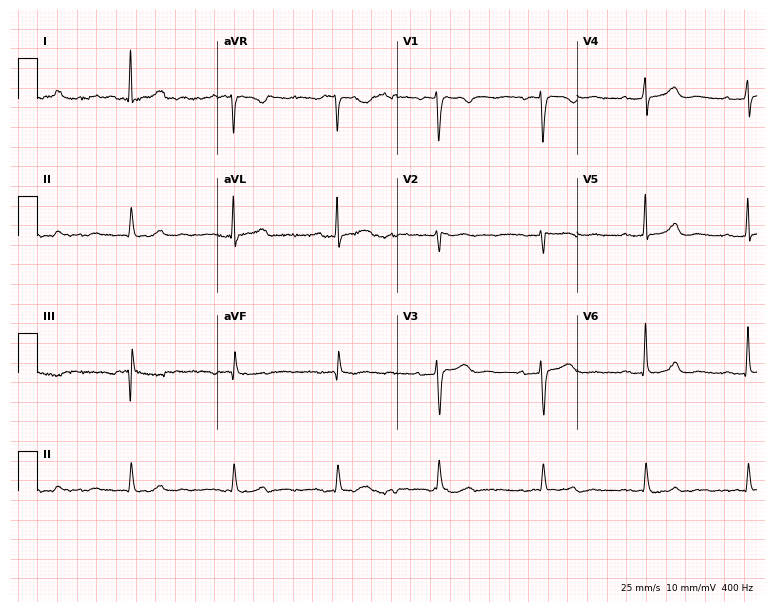
12-lead ECG from a female, 60 years old. No first-degree AV block, right bundle branch block (RBBB), left bundle branch block (LBBB), sinus bradycardia, atrial fibrillation (AF) or sinus tachycardia recorded for this tracing.